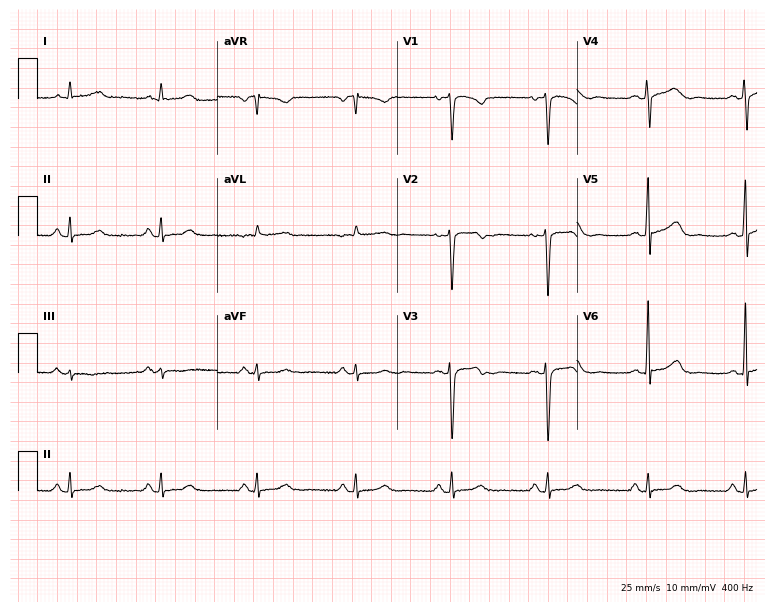
12-lead ECG from a 48-year-old female (7.3-second recording at 400 Hz). Recorded interpretation: within normal limits.